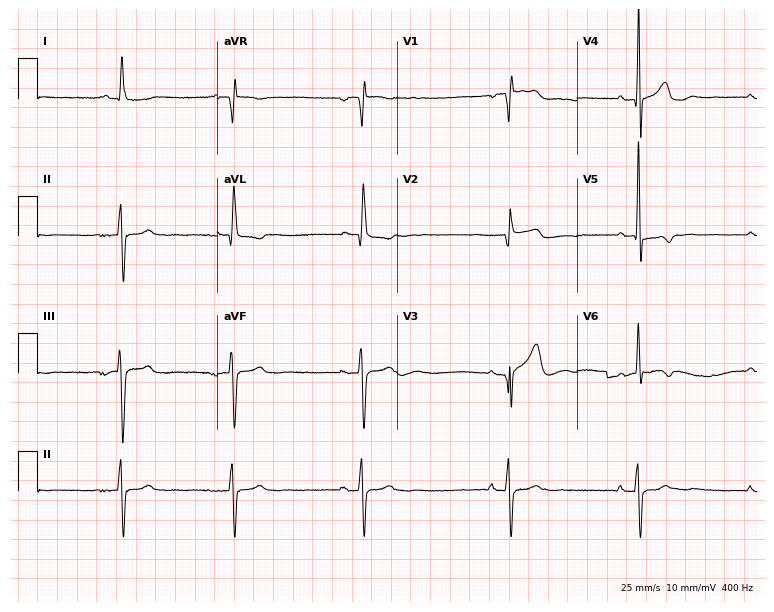
Electrocardiogram (7.3-second recording at 400 Hz), a male, 85 years old. Interpretation includes sinus bradycardia (a sinus rate of 50 beats per minute or less).